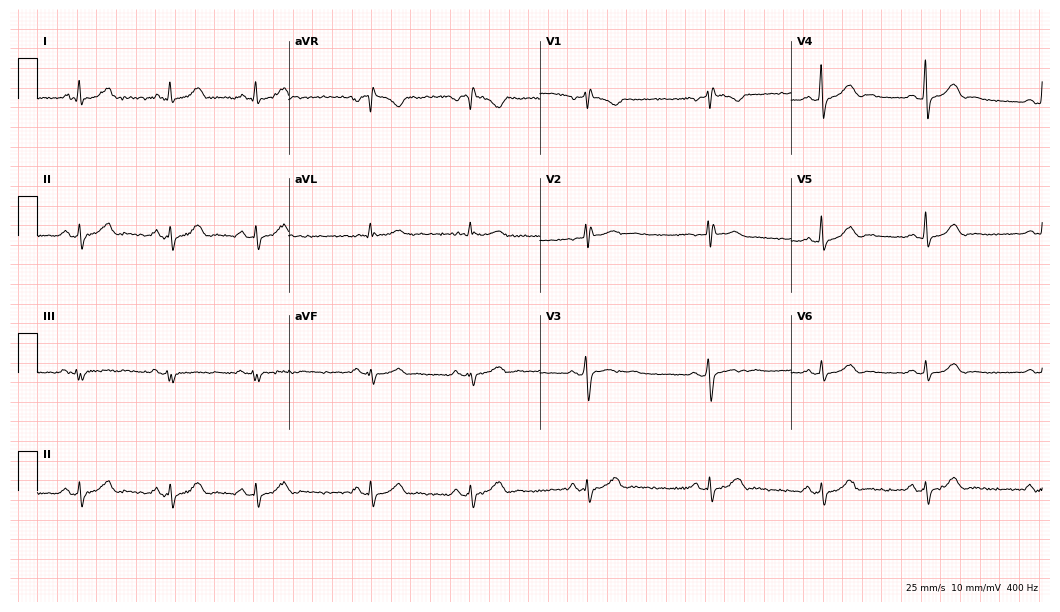
12-lead ECG from a 49-year-old female (10.2-second recording at 400 Hz). No first-degree AV block, right bundle branch block (RBBB), left bundle branch block (LBBB), sinus bradycardia, atrial fibrillation (AF) or sinus tachycardia recorded for this tracing.